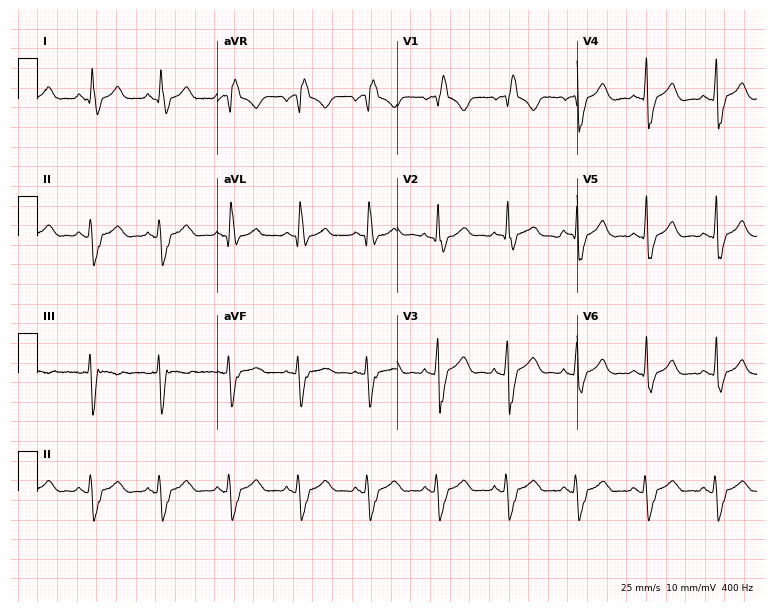
Standard 12-lead ECG recorded from a 45-year-old man (7.3-second recording at 400 Hz). The tracing shows right bundle branch block.